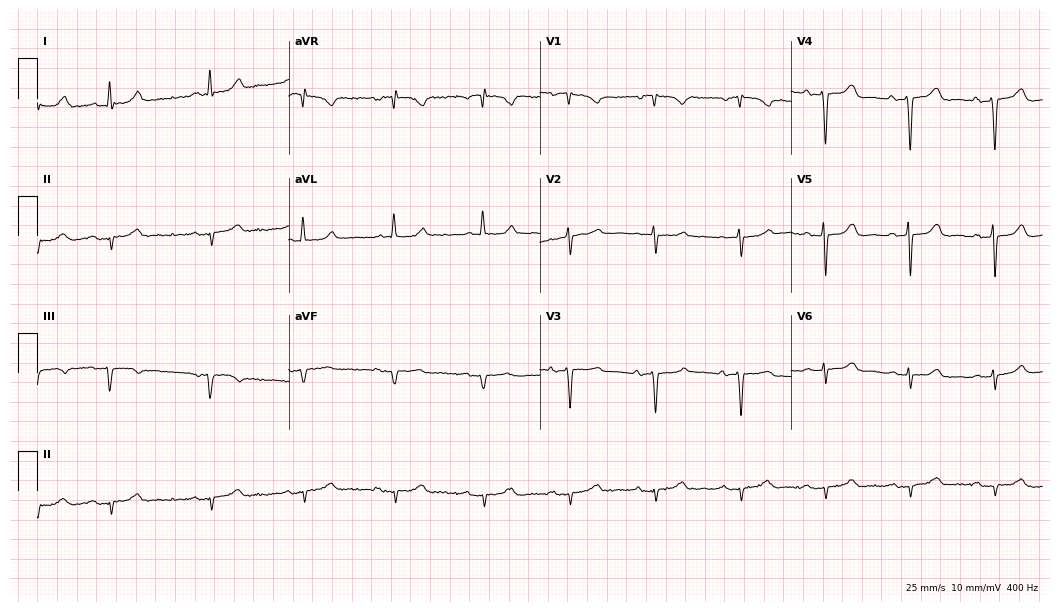
Resting 12-lead electrocardiogram. Patient: a woman, 75 years old. None of these six findings is recorded: first-degree AV block, right bundle branch block, left bundle branch block, sinus bradycardia, atrial fibrillation, sinus tachycardia.